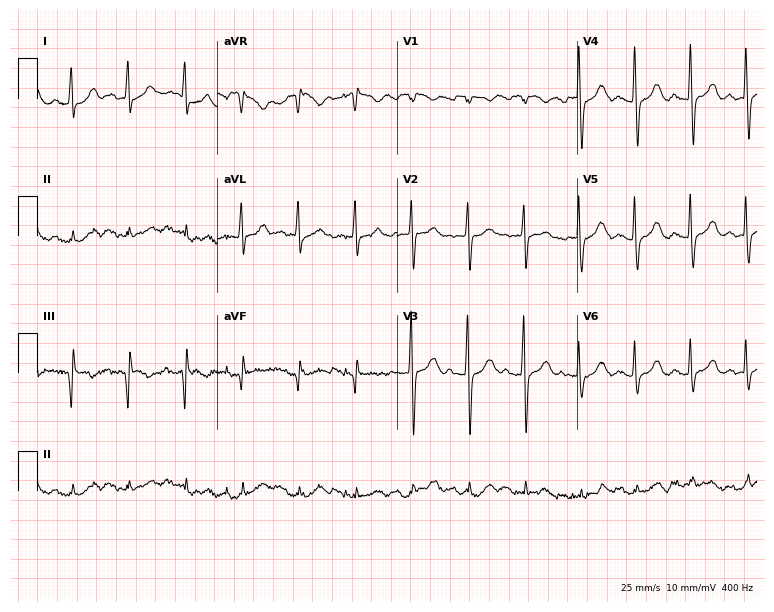
Resting 12-lead electrocardiogram (7.3-second recording at 400 Hz). Patient: a man, 74 years old. None of these six findings is recorded: first-degree AV block, right bundle branch block, left bundle branch block, sinus bradycardia, atrial fibrillation, sinus tachycardia.